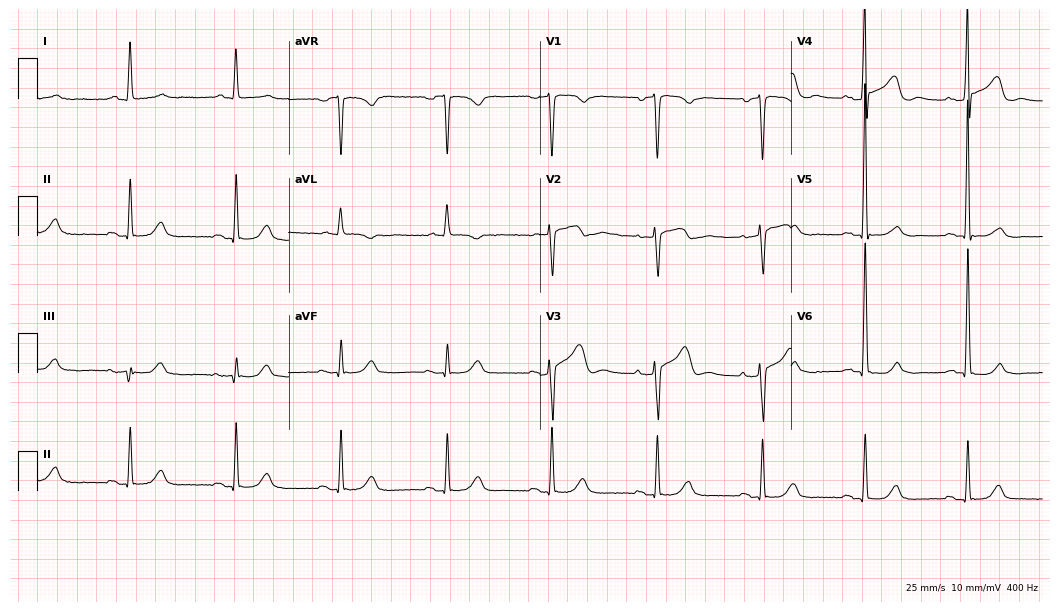
Standard 12-lead ECG recorded from a 78-year-old male patient (10.2-second recording at 400 Hz). None of these six findings is recorded: first-degree AV block, right bundle branch block, left bundle branch block, sinus bradycardia, atrial fibrillation, sinus tachycardia.